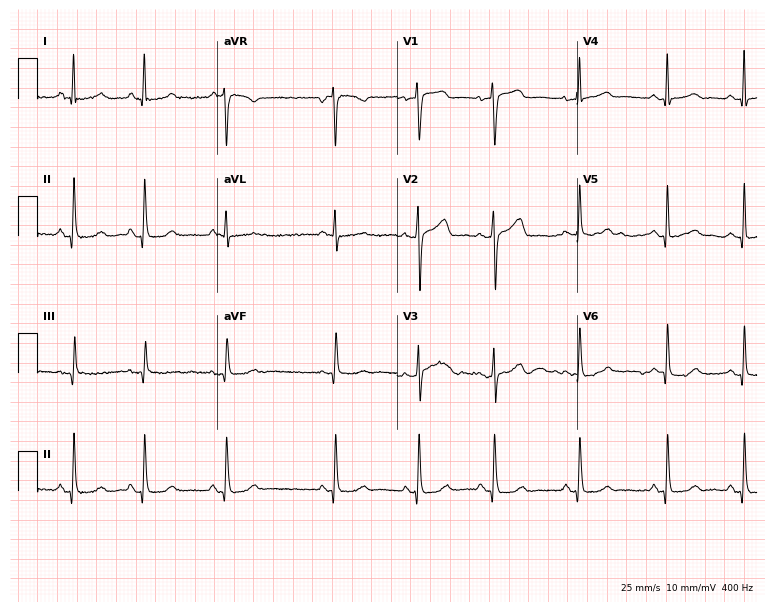
Standard 12-lead ECG recorded from a 32-year-old female (7.3-second recording at 400 Hz). Read as a normal ECG.